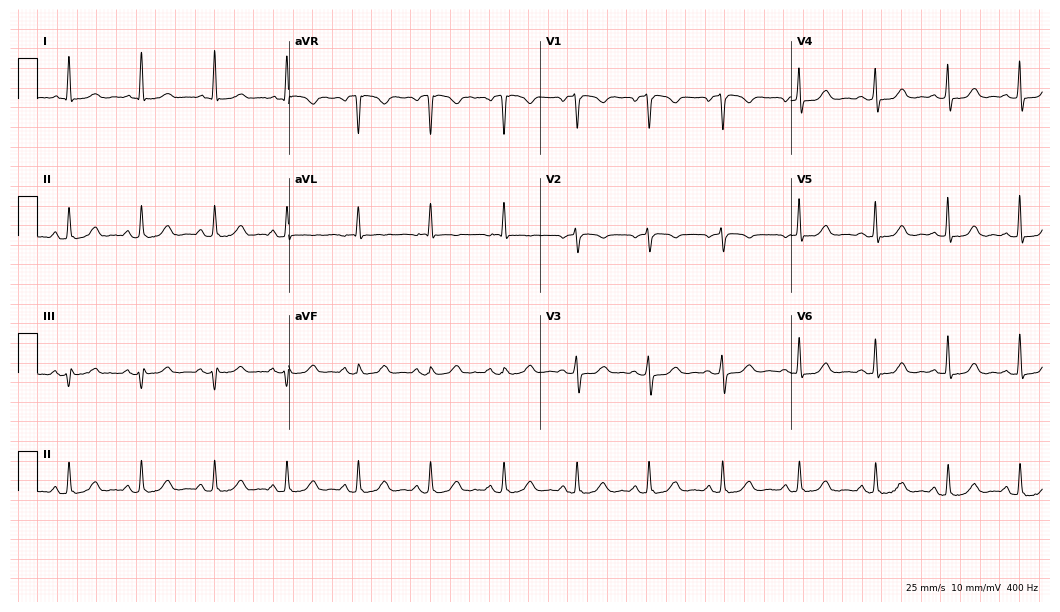
ECG — a 60-year-old female. Labelled as a normal ECG.